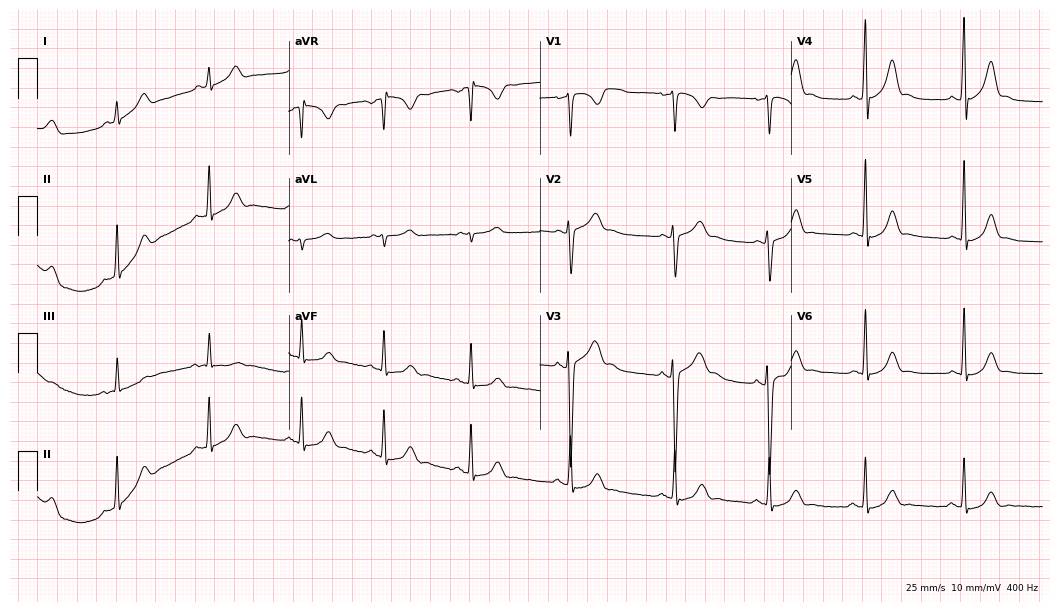
Standard 12-lead ECG recorded from a 21-year-old man. None of these six findings is recorded: first-degree AV block, right bundle branch block, left bundle branch block, sinus bradycardia, atrial fibrillation, sinus tachycardia.